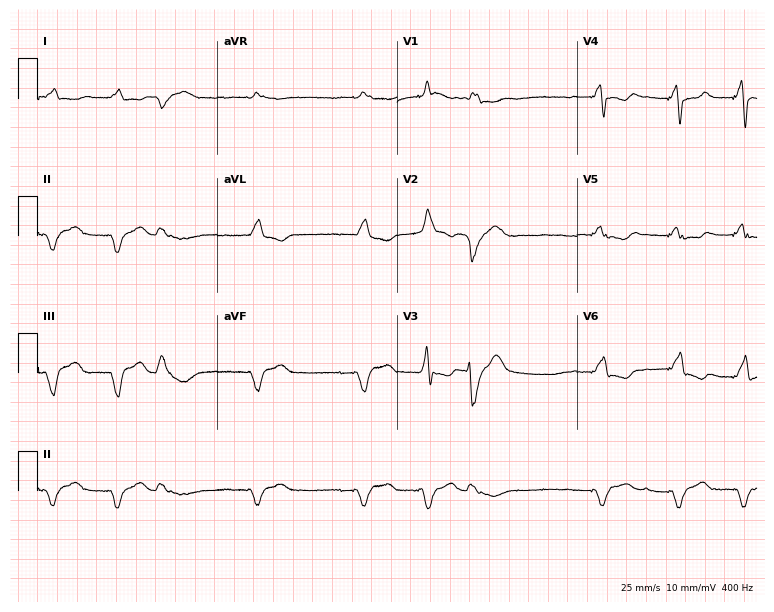
Electrocardiogram, an 86-year-old female. Interpretation includes right bundle branch block, atrial fibrillation.